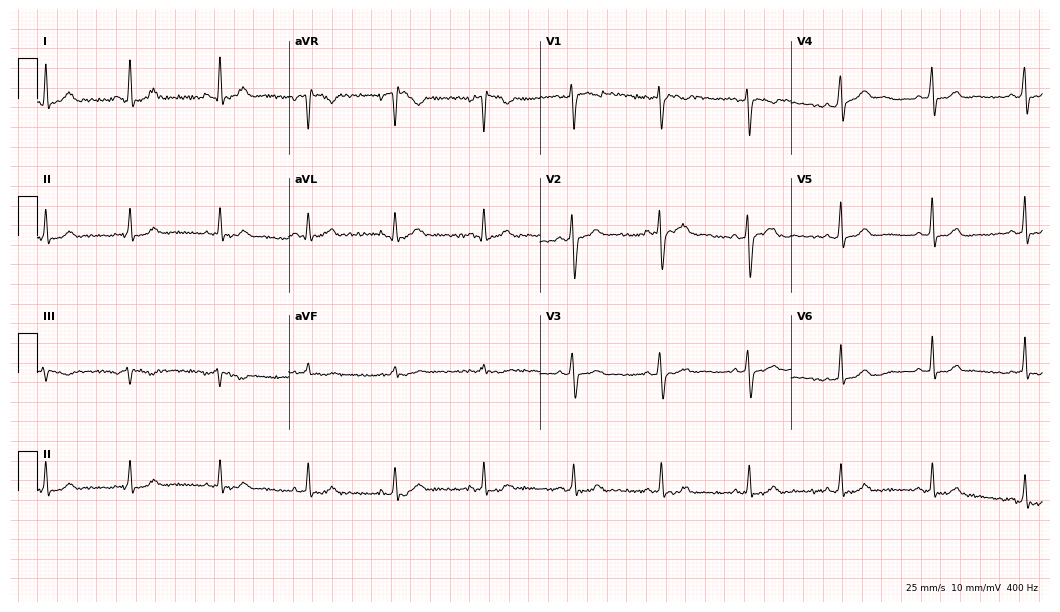
Resting 12-lead electrocardiogram. Patient: a female, 39 years old. Read as a normal ECG.